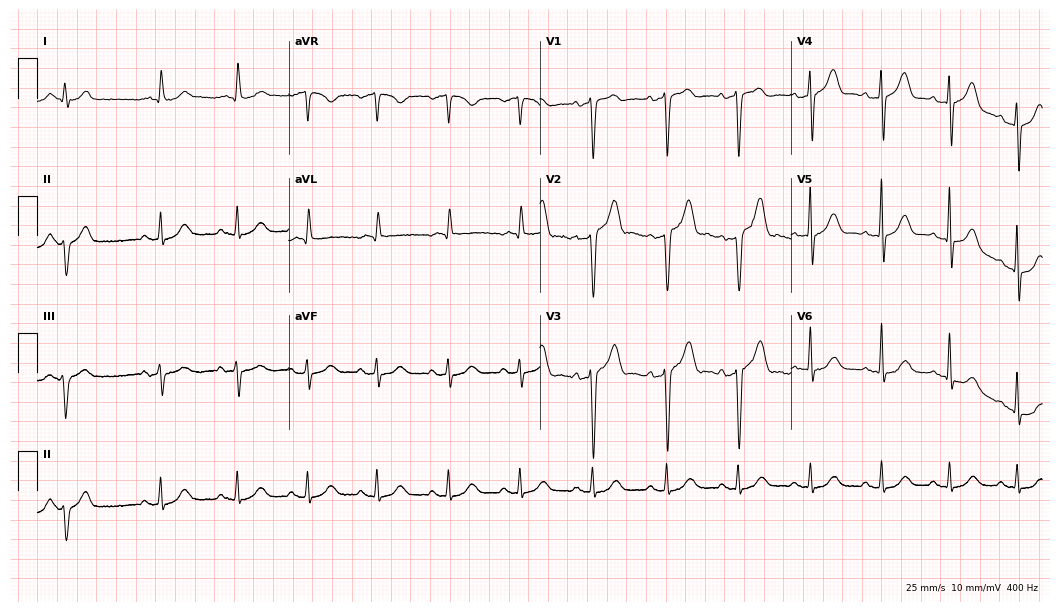
Standard 12-lead ECG recorded from a 64-year-old male. Read as a normal ECG.